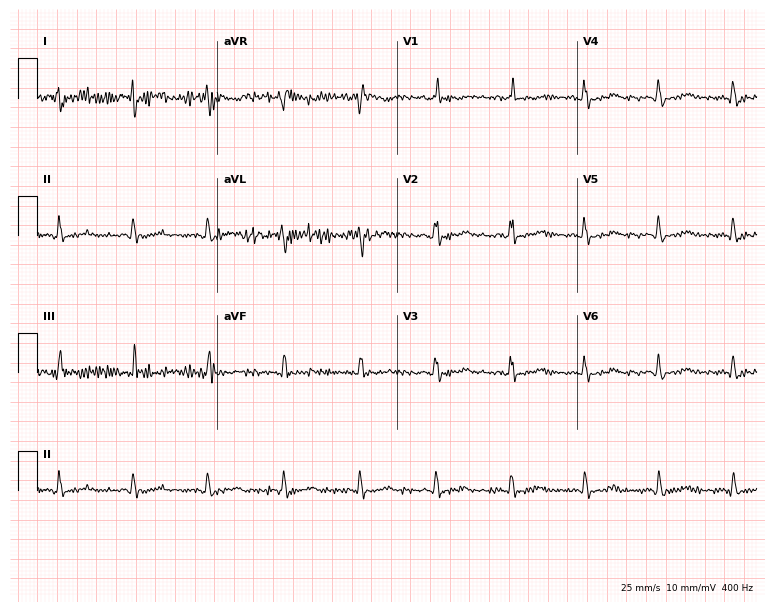
Standard 12-lead ECG recorded from a 53-year-old female (7.3-second recording at 400 Hz). None of these six findings is recorded: first-degree AV block, right bundle branch block, left bundle branch block, sinus bradycardia, atrial fibrillation, sinus tachycardia.